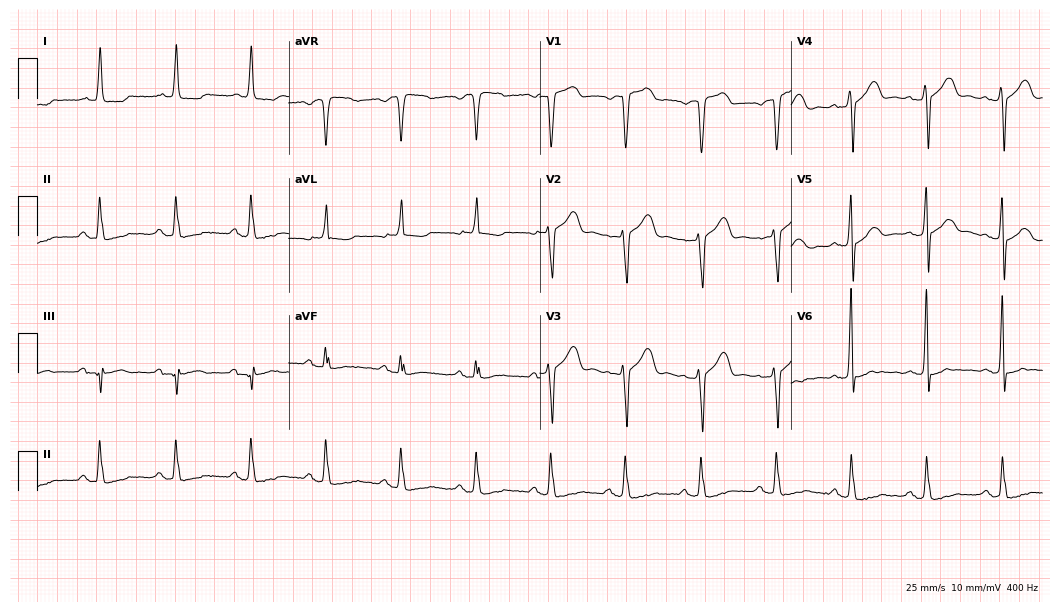
Standard 12-lead ECG recorded from a male patient, 75 years old (10.2-second recording at 400 Hz). None of these six findings is recorded: first-degree AV block, right bundle branch block, left bundle branch block, sinus bradycardia, atrial fibrillation, sinus tachycardia.